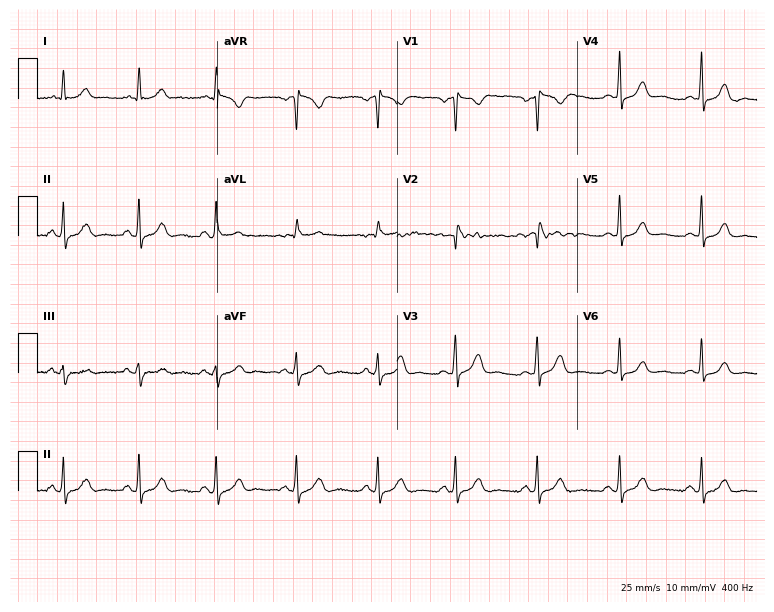
ECG (7.3-second recording at 400 Hz) — a woman, 35 years old. Screened for six findings — first-degree AV block, right bundle branch block, left bundle branch block, sinus bradycardia, atrial fibrillation, sinus tachycardia — none is recorded. Findings outside these six are not listed.